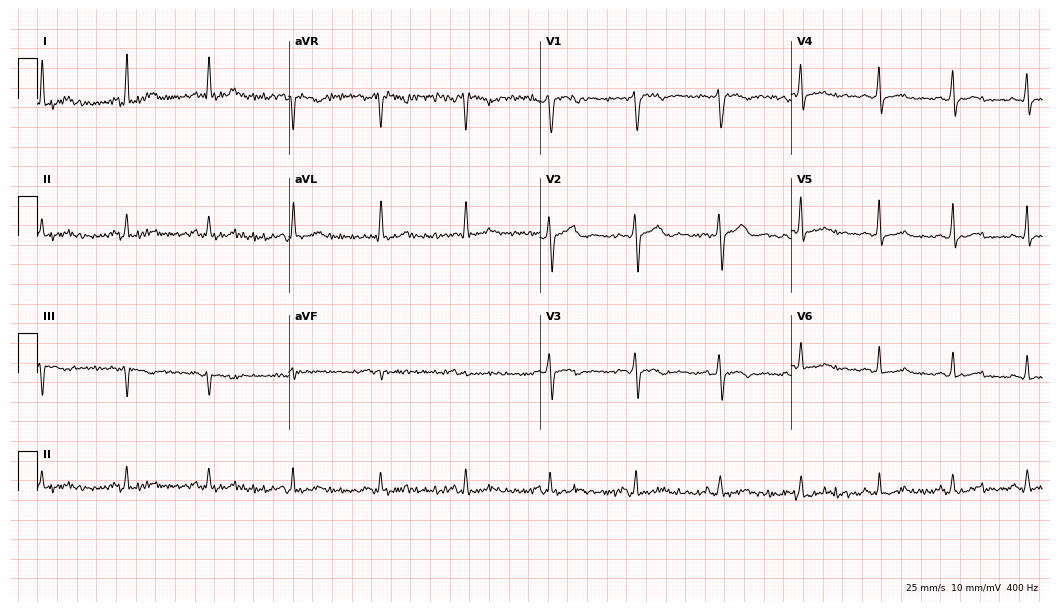
12-lead ECG from a female, 44 years old. No first-degree AV block, right bundle branch block (RBBB), left bundle branch block (LBBB), sinus bradycardia, atrial fibrillation (AF) or sinus tachycardia recorded for this tracing. Other findings, if any, are not listed.